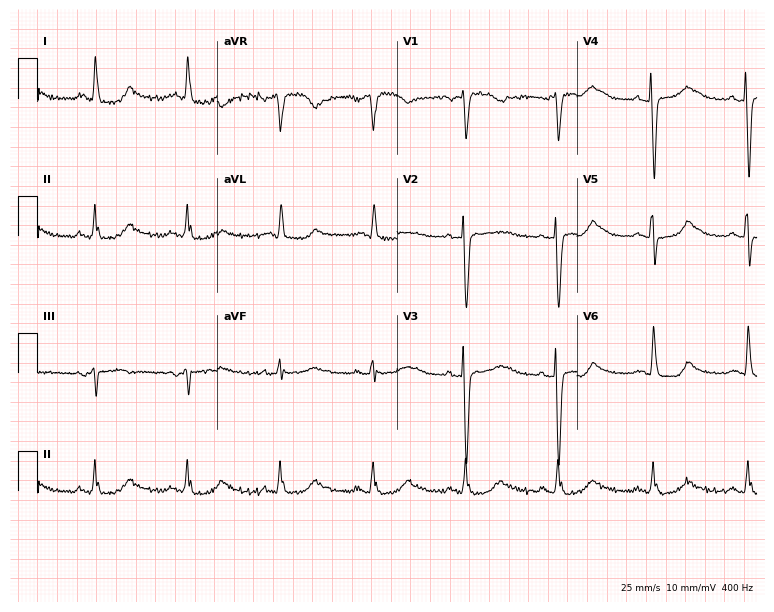
ECG (7.3-second recording at 400 Hz) — a female, 55 years old. Screened for six findings — first-degree AV block, right bundle branch block (RBBB), left bundle branch block (LBBB), sinus bradycardia, atrial fibrillation (AF), sinus tachycardia — none is recorded. Other findings, if any, are not listed.